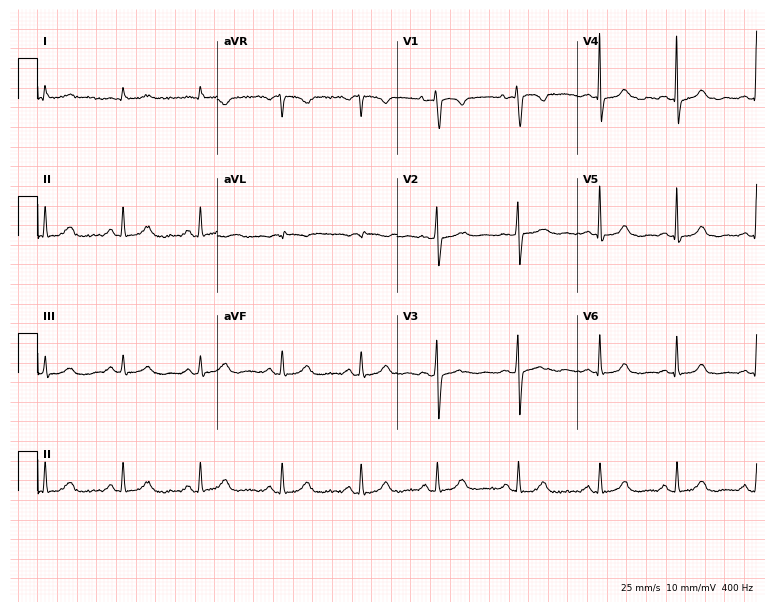
12-lead ECG (7.3-second recording at 400 Hz) from a 45-year-old male patient. Labelled as a normal ECG.